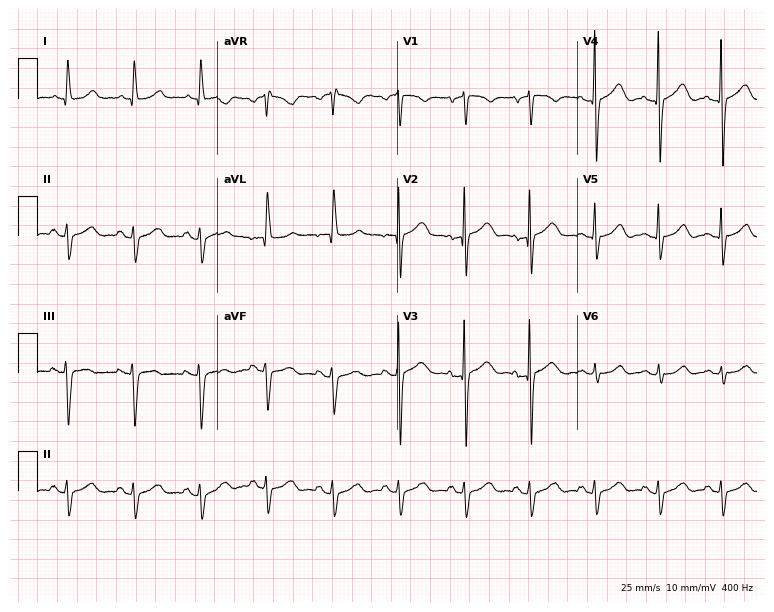
Resting 12-lead electrocardiogram (7.3-second recording at 400 Hz). Patient: an 82-year-old female. None of these six findings is recorded: first-degree AV block, right bundle branch block (RBBB), left bundle branch block (LBBB), sinus bradycardia, atrial fibrillation (AF), sinus tachycardia. Findings outside these six are not listed.